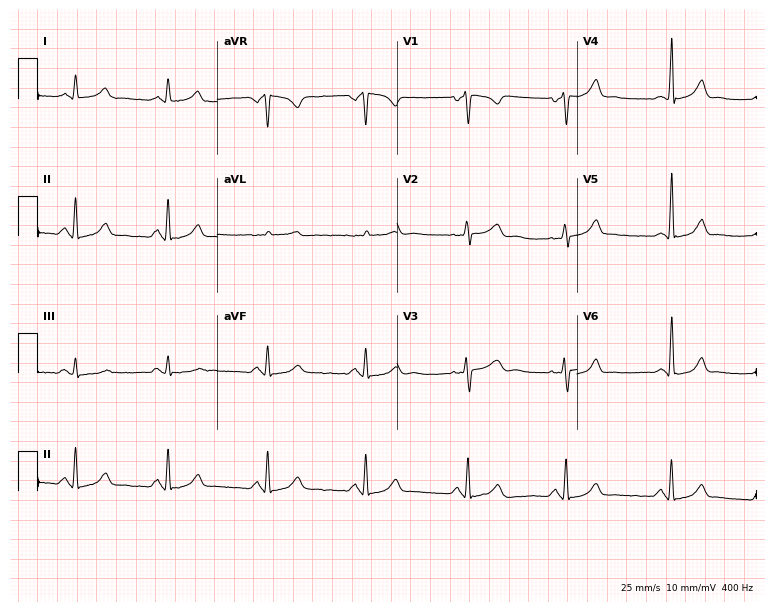
12-lead ECG (7.3-second recording at 400 Hz) from a female, 49 years old. Screened for six findings — first-degree AV block, right bundle branch block (RBBB), left bundle branch block (LBBB), sinus bradycardia, atrial fibrillation (AF), sinus tachycardia — none is recorded. Only these six findings were labelled.